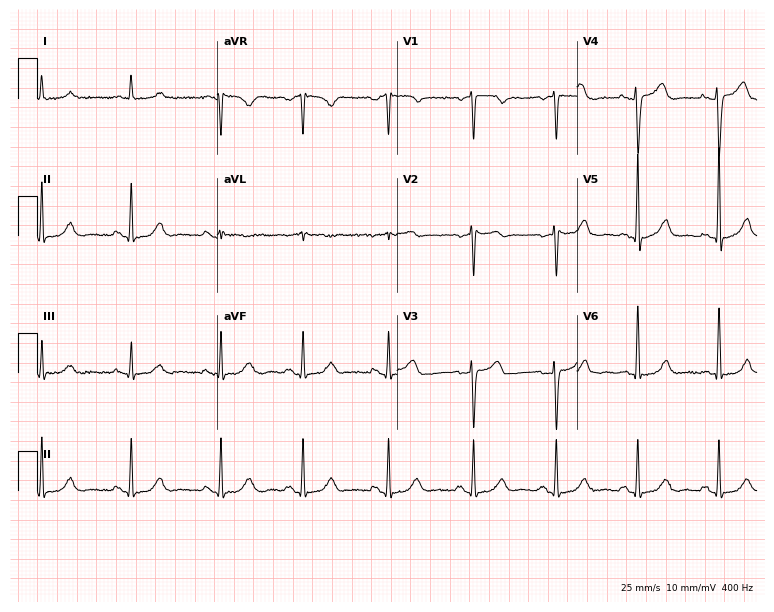
Resting 12-lead electrocardiogram. Patient: a female, 48 years old. Read as a normal ECG.